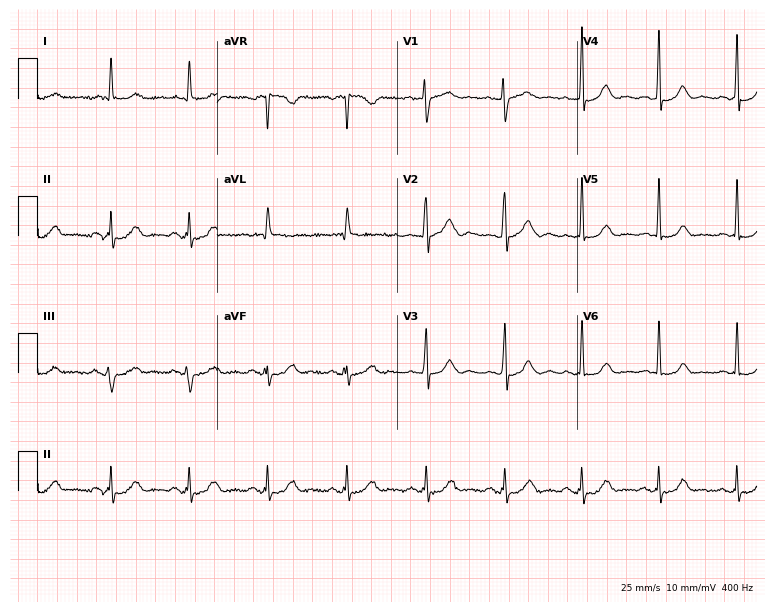
ECG (7.3-second recording at 400 Hz) — a woman, 76 years old. Screened for six findings — first-degree AV block, right bundle branch block, left bundle branch block, sinus bradycardia, atrial fibrillation, sinus tachycardia — none is recorded.